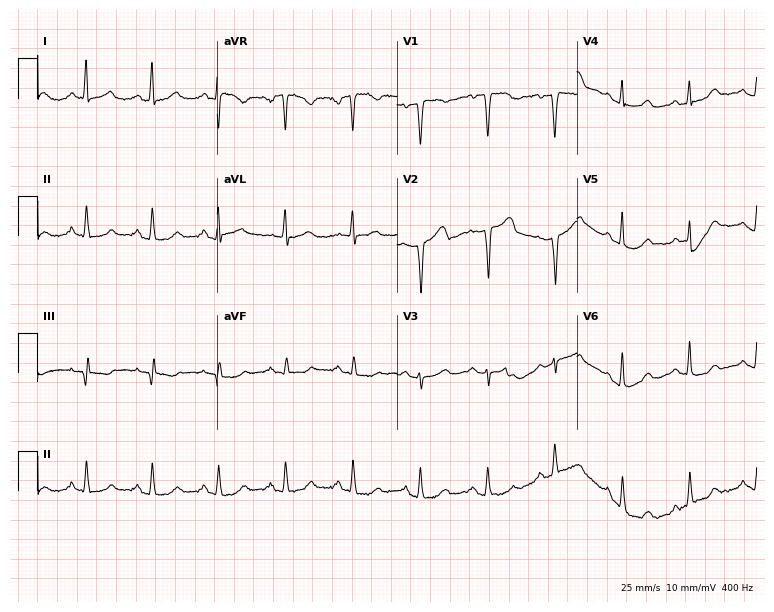
Resting 12-lead electrocardiogram. Patient: a female, 52 years old. None of these six findings is recorded: first-degree AV block, right bundle branch block, left bundle branch block, sinus bradycardia, atrial fibrillation, sinus tachycardia.